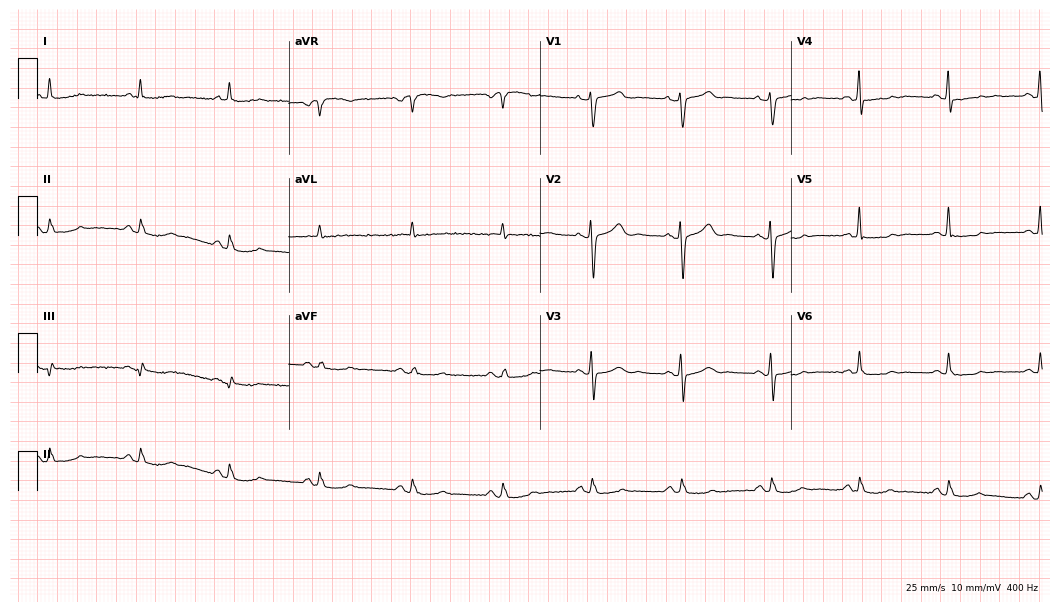
12-lead ECG (10.2-second recording at 400 Hz) from a male, 70 years old. Screened for six findings — first-degree AV block, right bundle branch block (RBBB), left bundle branch block (LBBB), sinus bradycardia, atrial fibrillation (AF), sinus tachycardia — none is recorded. Findings outside these six are not listed.